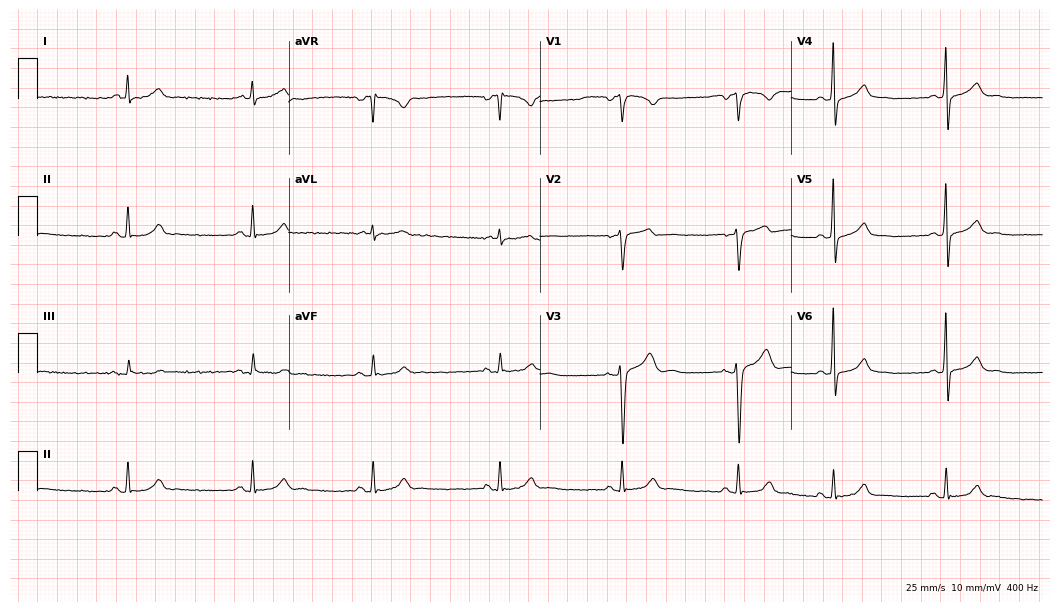
Standard 12-lead ECG recorded from a 49-year-old male. Read as a normal ECG.